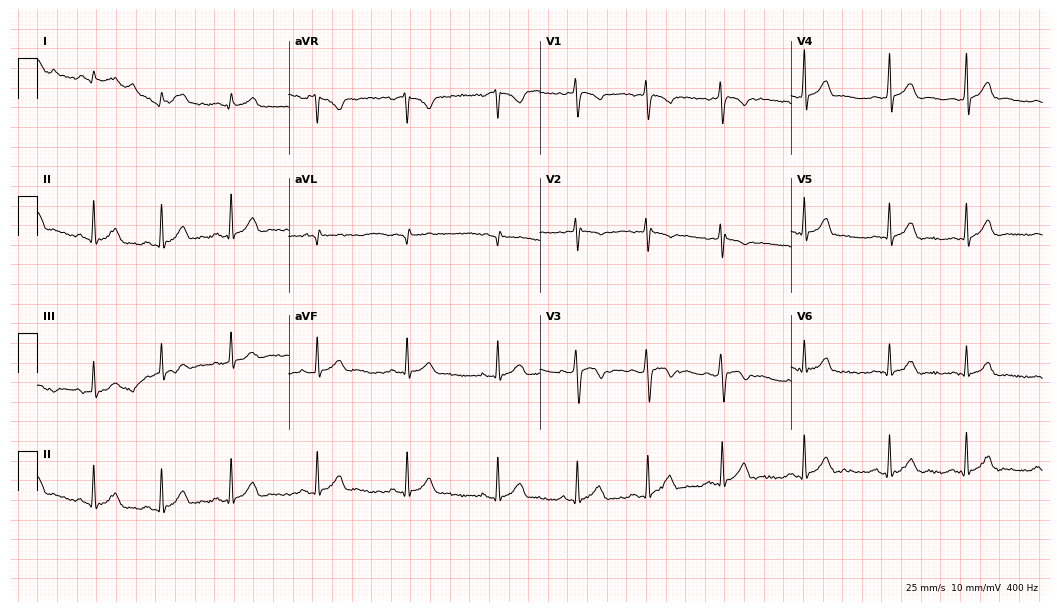
Standard 12-lead ECG recorded from a woman, 21 years old (10.2-second recording at 400 Hz). None of these six findings is recorded: first-degree AV block, right bundle branch block (RBBB), left bundle branch block (LBBB), sinus bradycardia, atrial fibrillation (AF), sinus tachycardia.